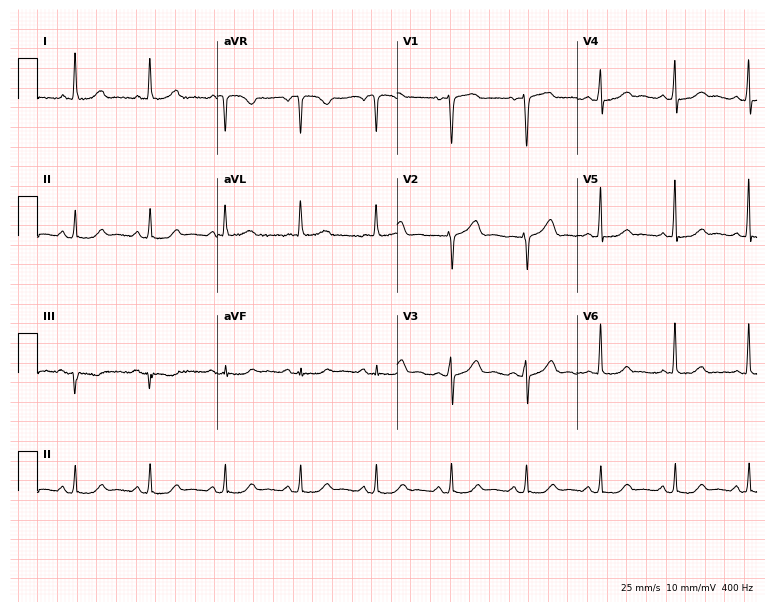
12-lead ECG from a 62-year-old female. Recorded interpretation: within normal limits.